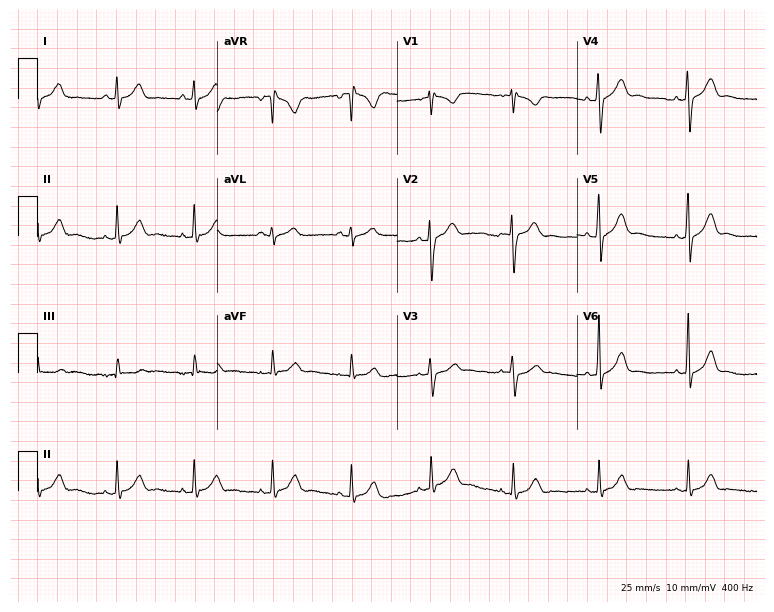
12-lead ECG (7.3-second recording at 400 Hz) from a male, 23 years old. Labelled as a normal ECG.